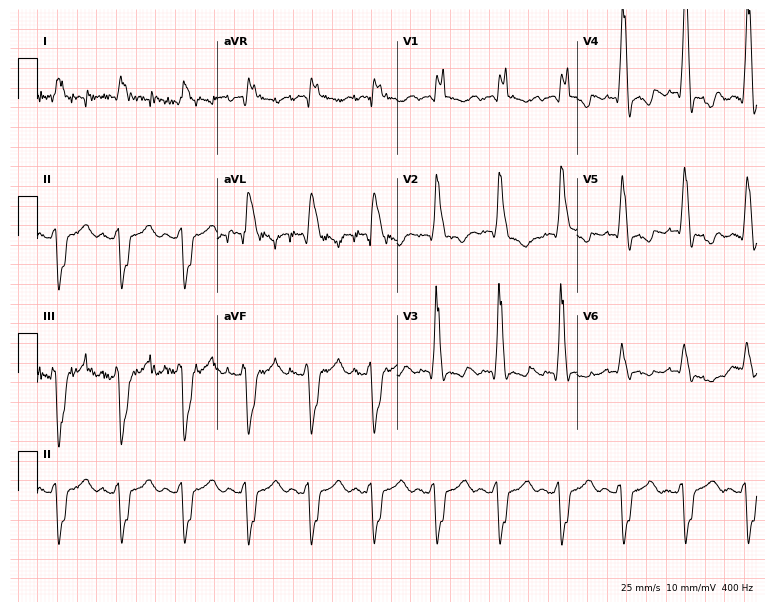
12-lead ECG from a 79-year-old man (7.3-second recording at 400 Hz). Shows right bundle branch block.